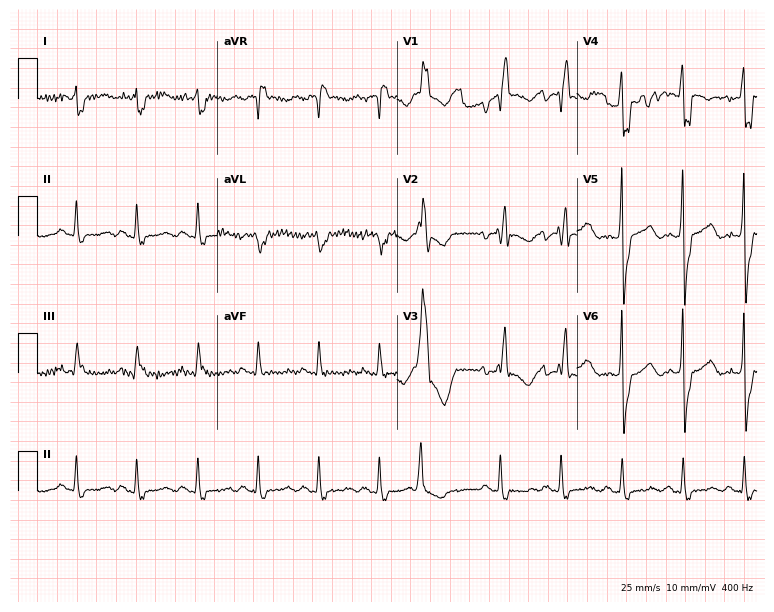
ECG — a 71-year-old man. Findings include right bundle branch block.